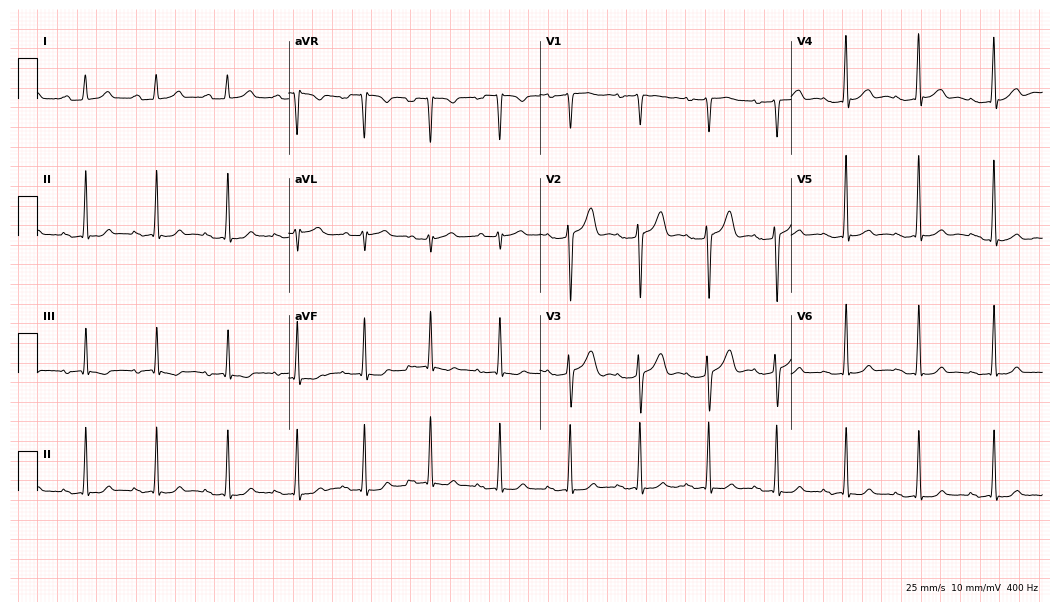
Electrocardiogram, a 31-year-old woman. Overall reading on record: normal ECG.